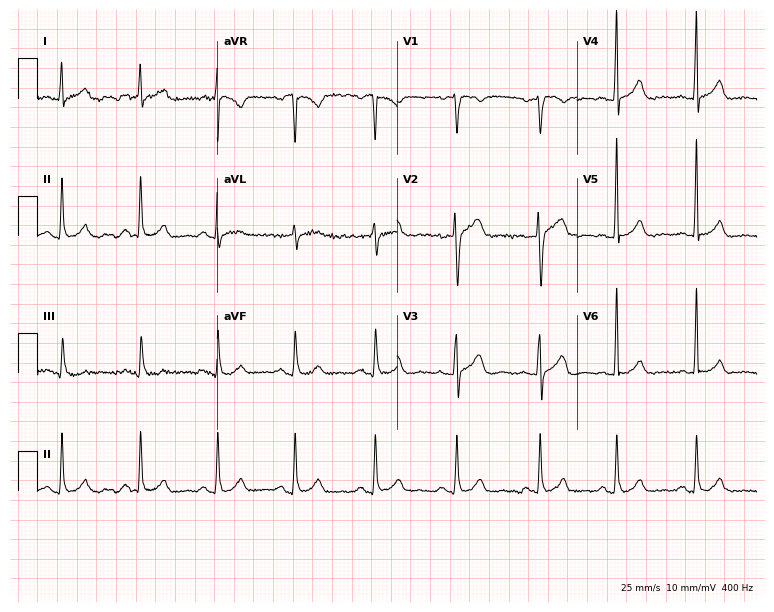
ECG (7.3-second recording at 400 Hz) — a man, 59 years old. Labelled as a normal ECG.